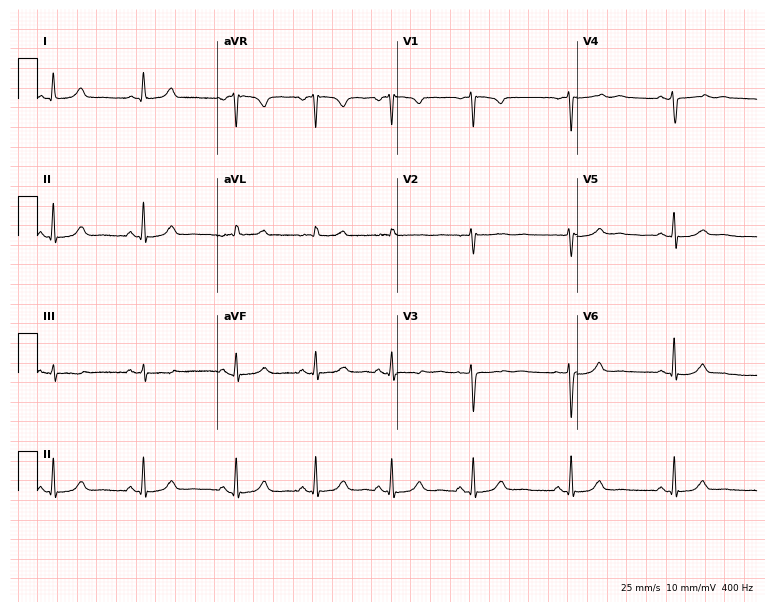
Standard 12-lead ECG recorded from a female, 32 years old. None of these six findings is recorded: first-degree AV block, right bundle branch block, left bundle branch block, sinus bradycardia, atrial fibrillation, sinus tachycardia.